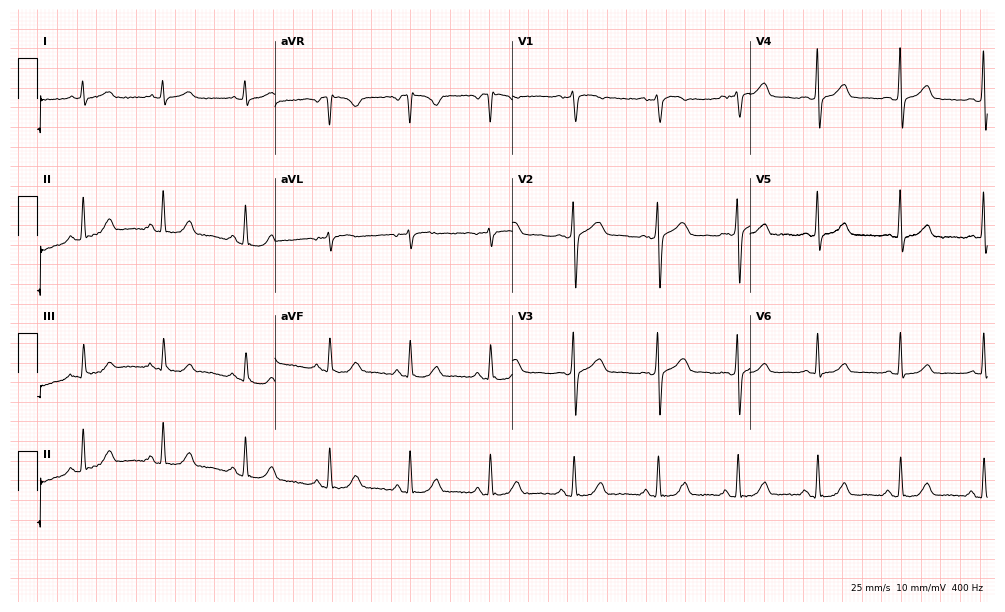
12-lead ECG from a 55-year-old woman. Labelled as a normal ECG.